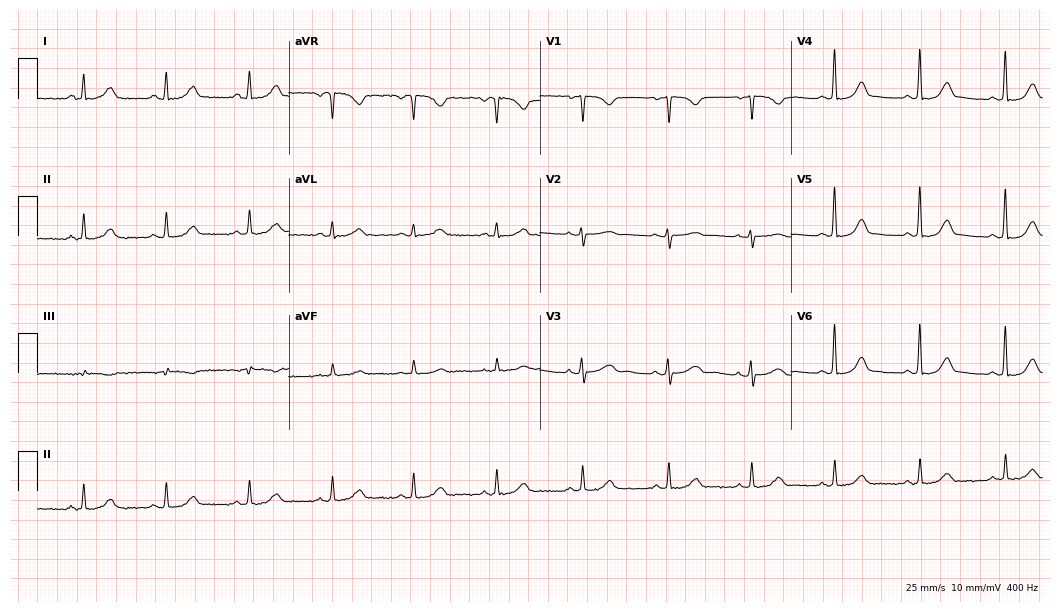
12-lead ECG (10.2-second recording at 400 Hz) from a female patient, 30 years old. Labelled as a normal ECG.